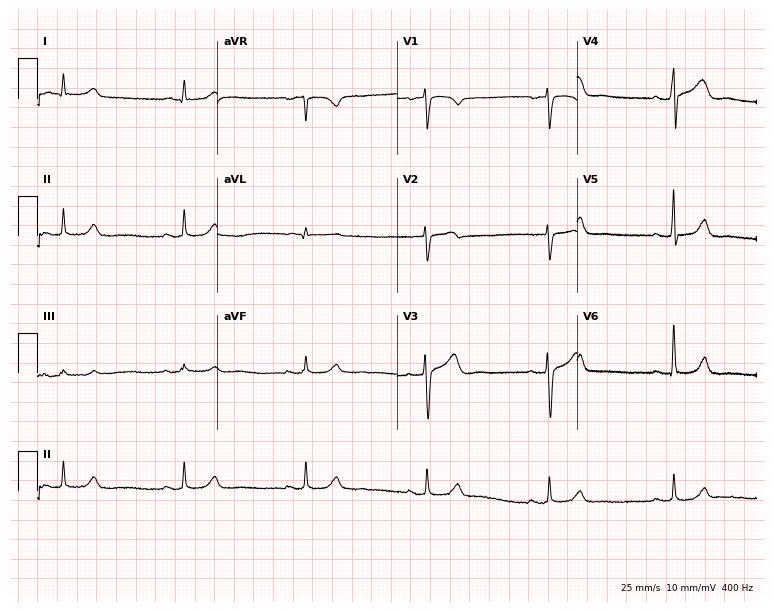
12-lead ECG from a 57-year-old man. Labelled as a normal ECG.